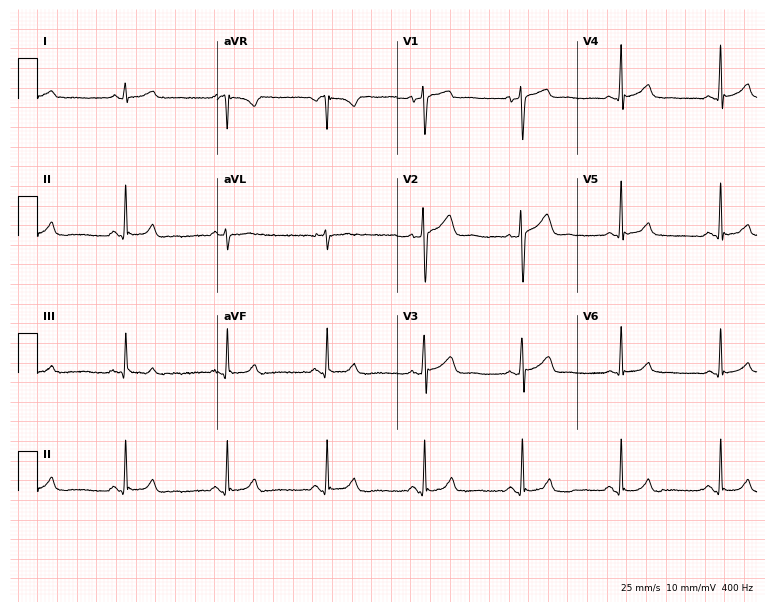
Electrocardiogram (7.3-second recording at 400 Hz), a male, 55 years old. Of the six screened findings (first-degree AV block, right bundle branch block (RBBB), left bundle branch block (LBBB), sinus bradycardia, atrial fibrillation (AF), sinus tachycardia), none is recorded.